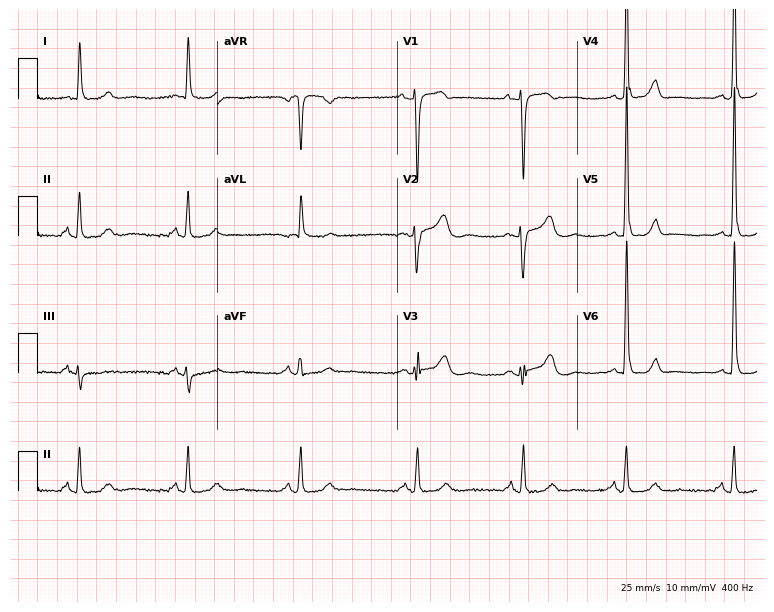
ECG (7.3-second recording at 400 Hz) — a female, 61 years old. Screened for six findings — first-degree AV block, right bundle branch block (RBBB), left bundle branch block (LBBB), sinus bradycardia, atrial fibrillation (AF), sinus tachycardia — none is recorded. Only these six findings were labelled.